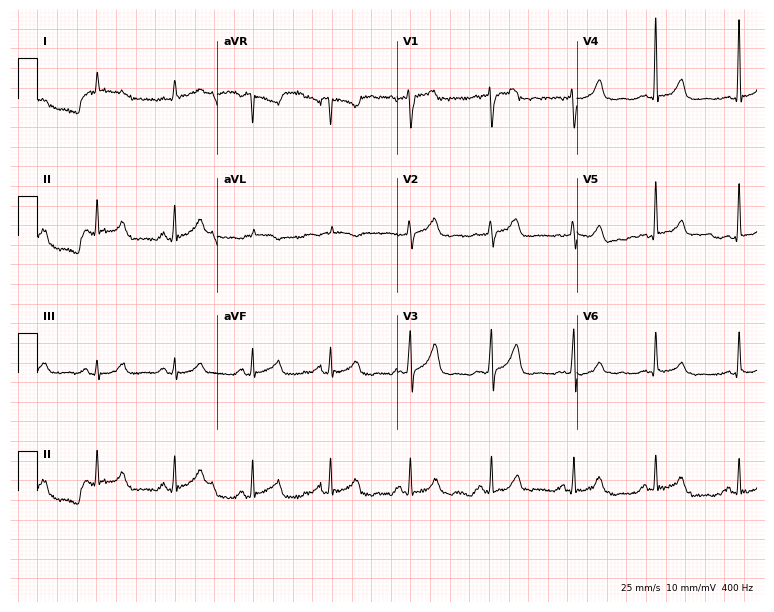
Electrocardiogram (7.3-second recording at 400 Hz), a male patient, 58 years old. Of the six screened findings (first-degree AV block, right bundle branch block, left bundle branch block, sinus bradycardia, atrial fibrillation, sinus tachycardia), none is recorded.